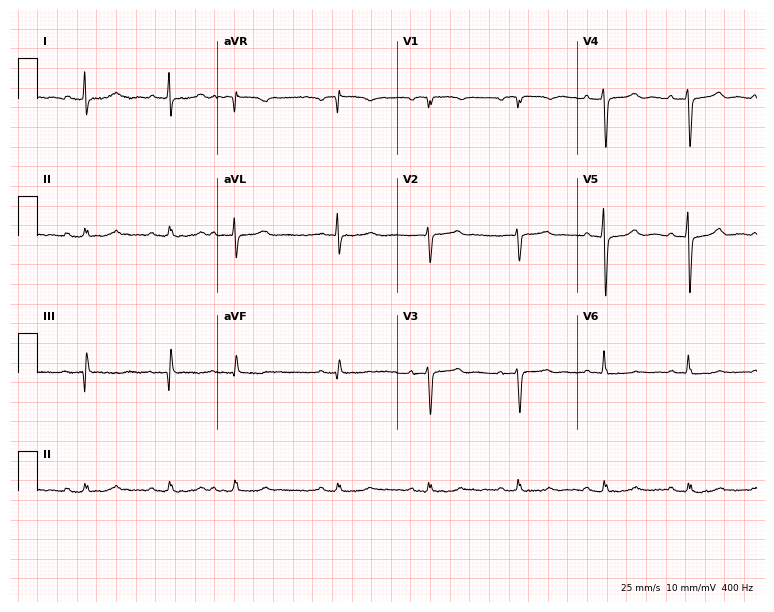
12-lead ECG (7.3-second recording at 400 Hz) from a male patient, 84 years old. Screened for six findings — first-degree AV block, right bundle branch block (RBBB), left bundle branch block (LBBB), sinus bradycardia, atrial fibrillation (AF), sinus tachycardia — none is recorded.